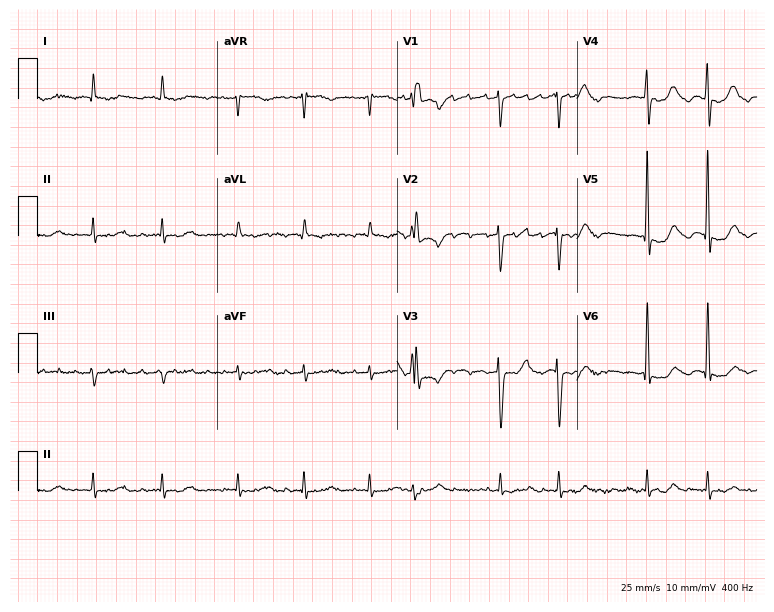
Electrocardiogram, a 72-year-old male. Interpretation includes atrial fibrillation.